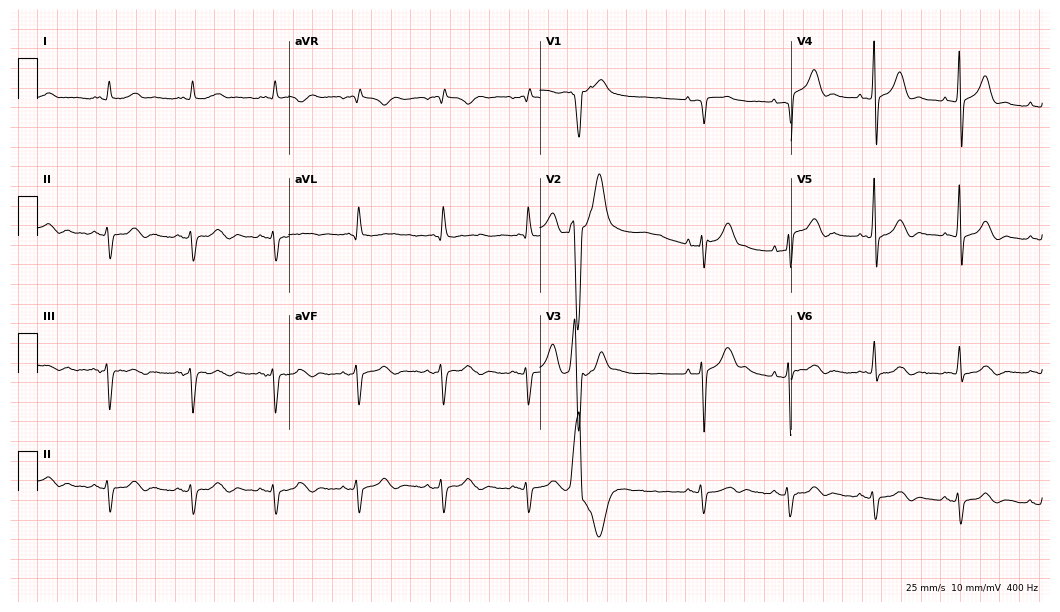
Standard 12-lead ECG recorded from a 65-year-old male. None of these six findings is recorded: first-degree AV block, right bundle branch block, left bundle branch block, sinus bradycardia, atrial fibrillation, sinus tachycardia. Other findings, if any, are not listed.